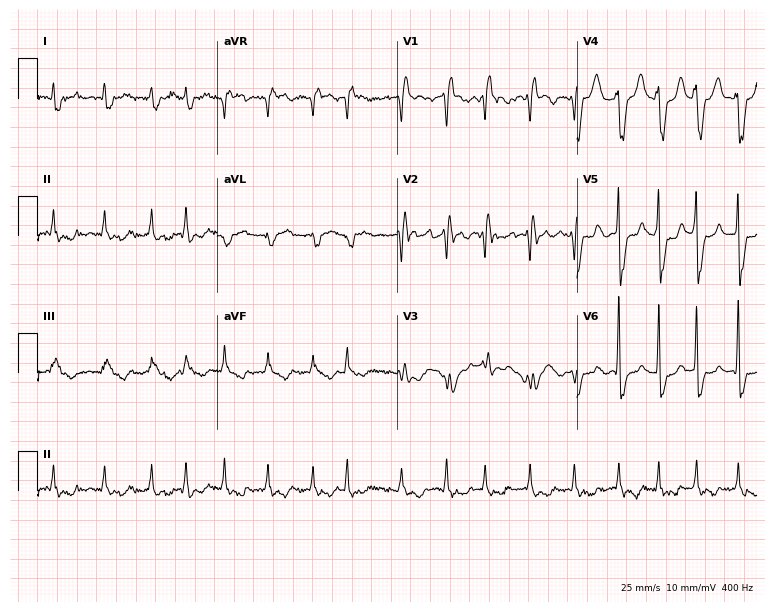
12-lead ECG from a 62-year-old male patient (7.3-second recording at 400 Hz). Shows right bundle branch block, atrial fibrillation.